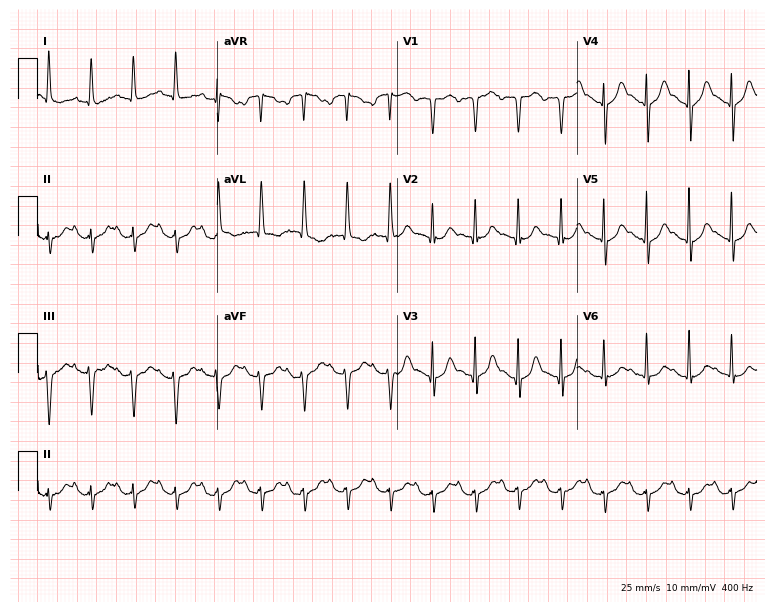
12-lead ECG from a 78-year-old female patient. Findings include sinus tachycardia (a sinus rate of 100 beats per minute or more).